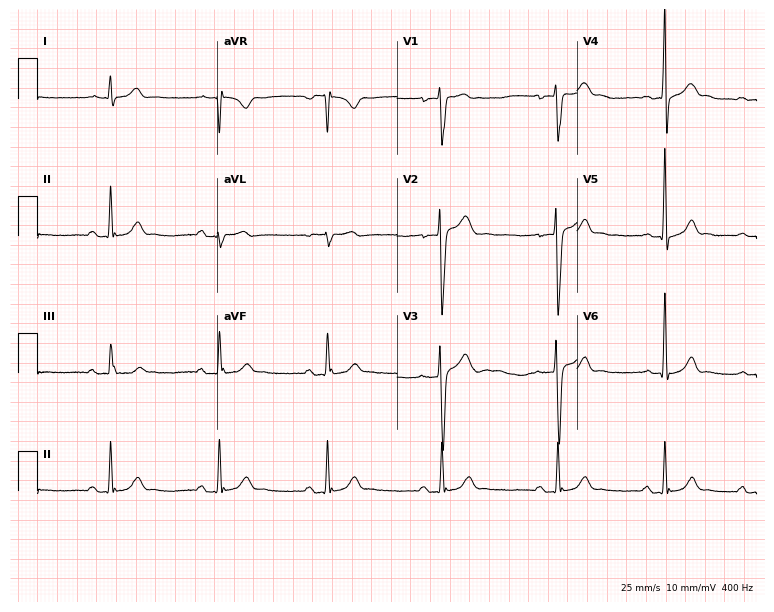
12-lead ECG from a male patient, 23 years old. Labelled as a normal ECG.